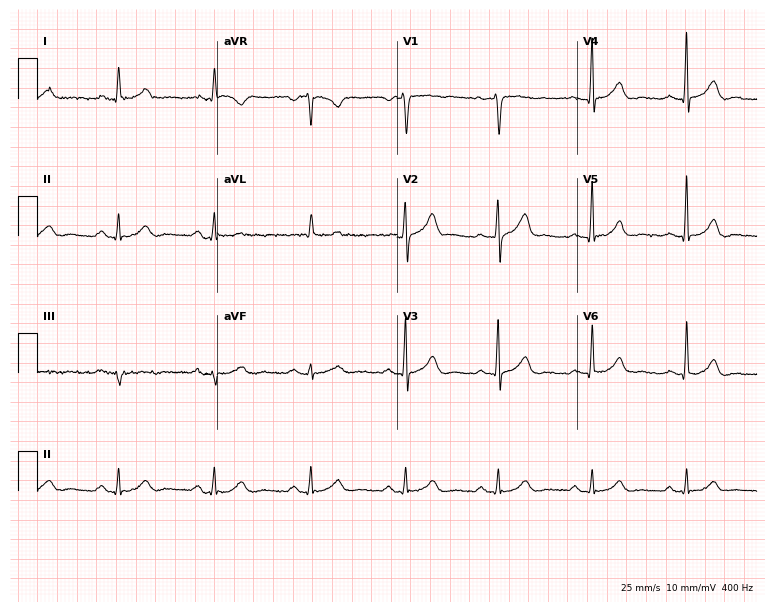
Resting 12-lead electrocardiogram (7.3-second recording at 400 Hz). Patient: a man, 54 years old. Read as a normal ECG.